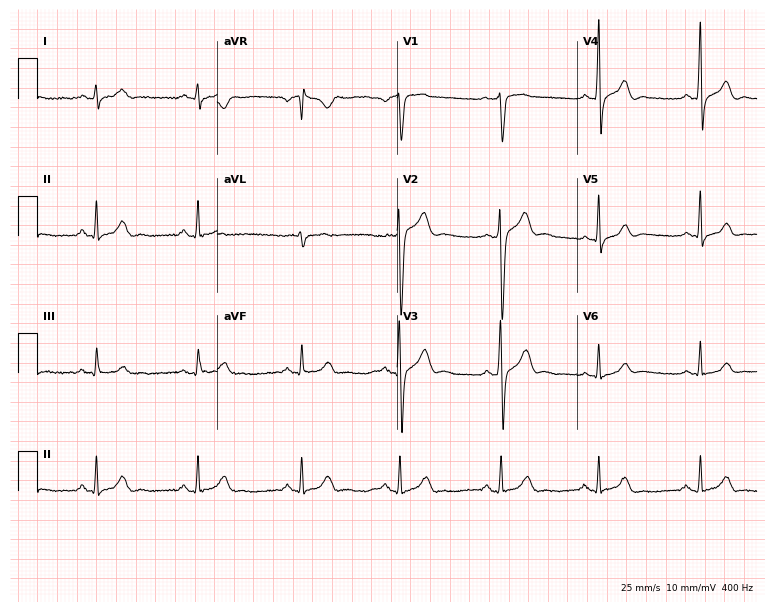
Resting 12-lead electrocardiogram. Patient: a male, 31 years old. Read as a normal ECG.